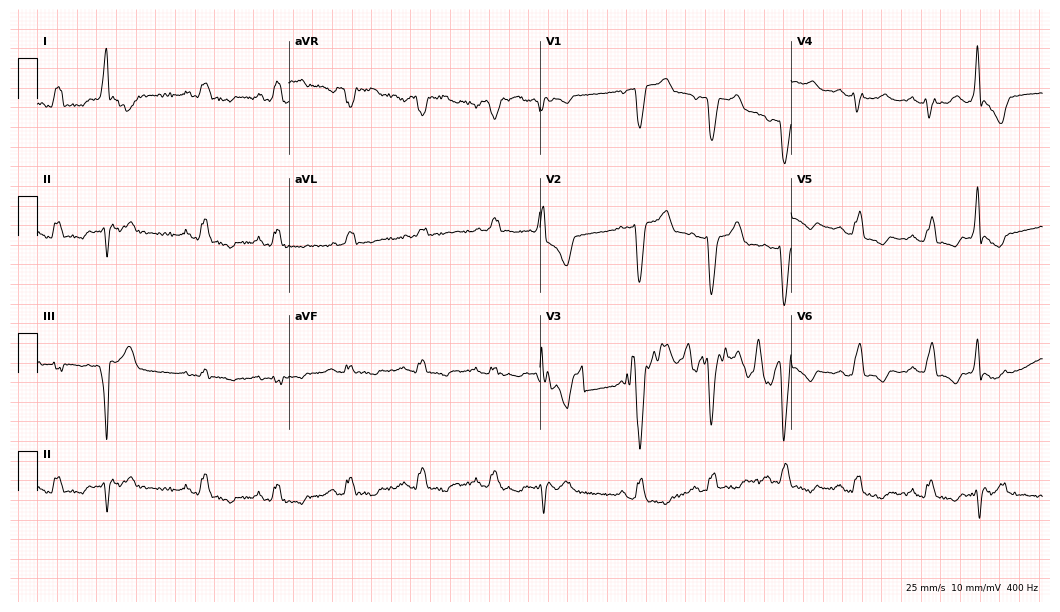
Resting 12-lead electrocardiogram (10.2-second recording at 400 Hz). Patient: a 74-year-old female. The tracing shows left bundle branch block (LBBB).